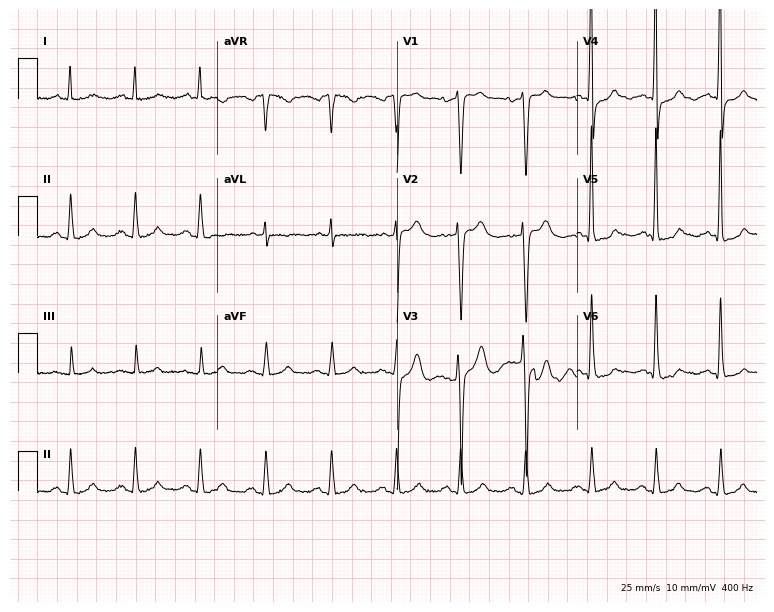
Standard 12-lead ECG recorded from a male patient, 57 years old (7.3-second recording at 400 Hz). Read as a normal ECG.